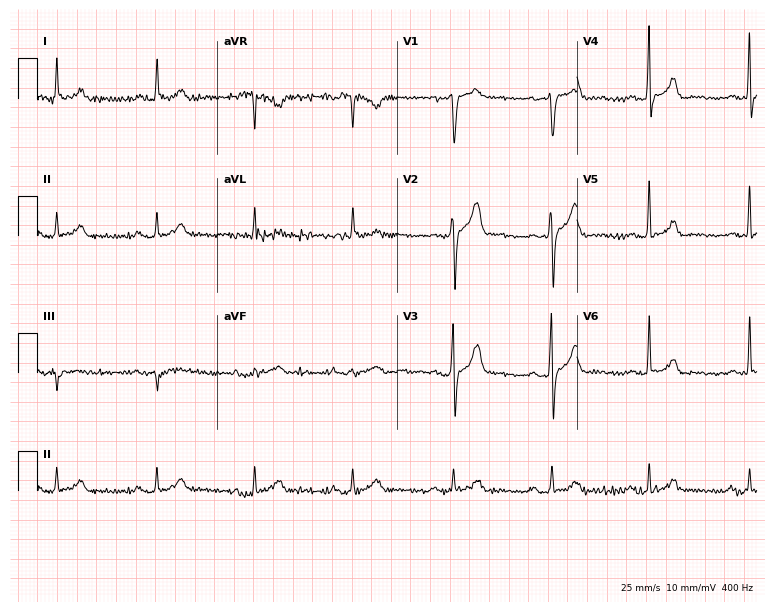
Standard 12-lead ECG recorded from a man, 70 years old. Read as a normal ECG.